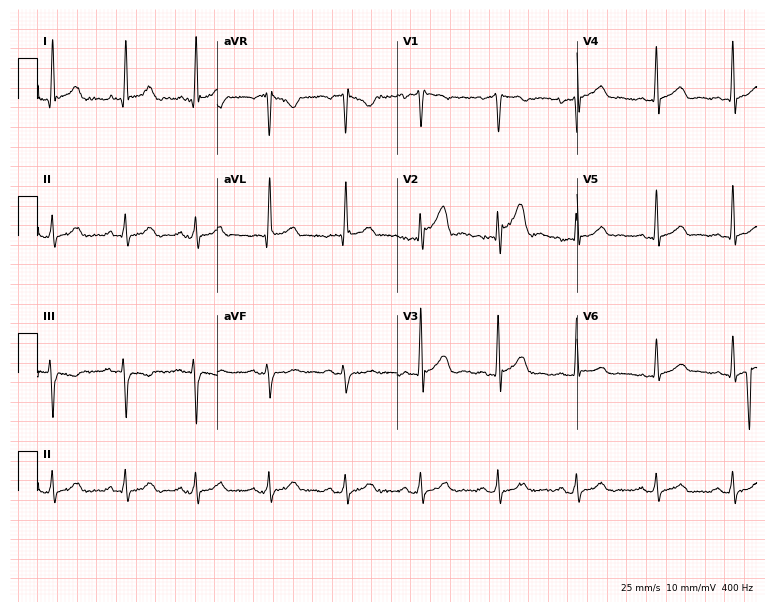
Electrocardiogram, a 57-year-old male patient. Overall reading on record: normal ECG.